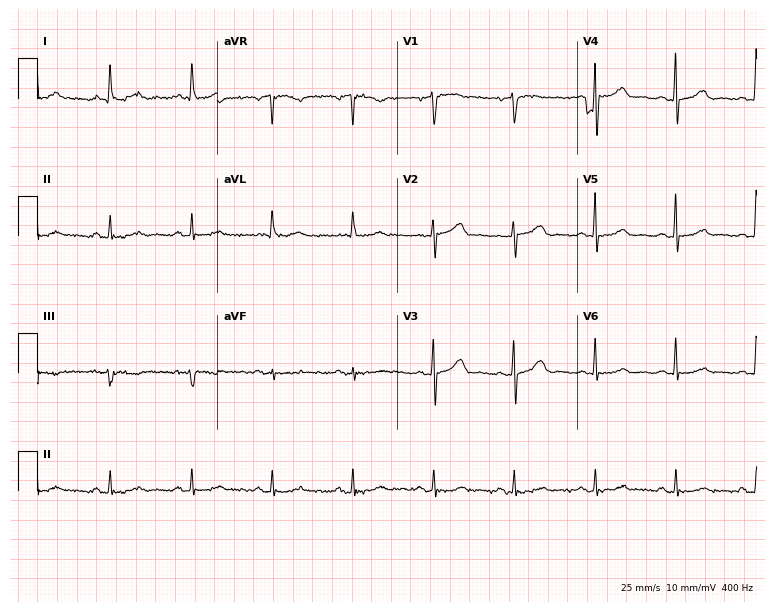
12-lead ECG from a 79-year-old female patient. Labelled as a normal ECG.